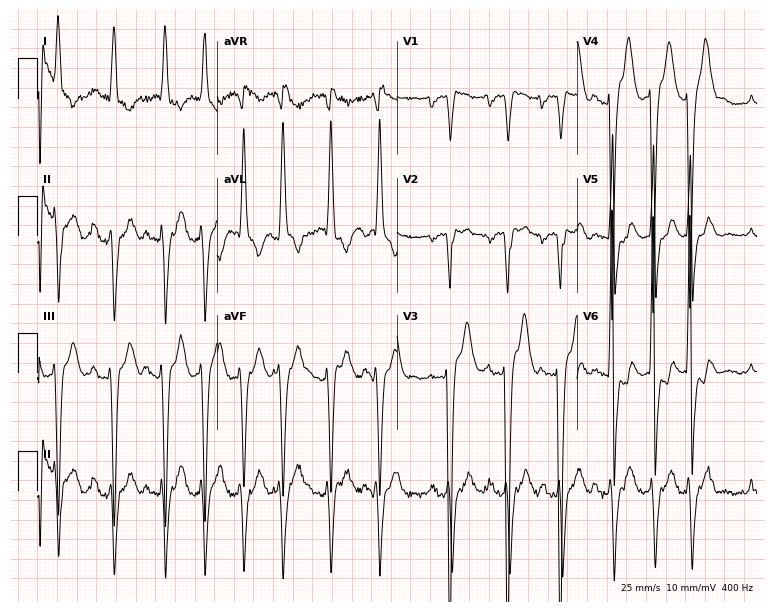
Resting 12-lead electrocardiogram (7.3-second recording at 400 Hz). Patient: a woman, 64 years old. The tracing shows sinus tachycardia (a sinus rate of 100 beats per minute or more).